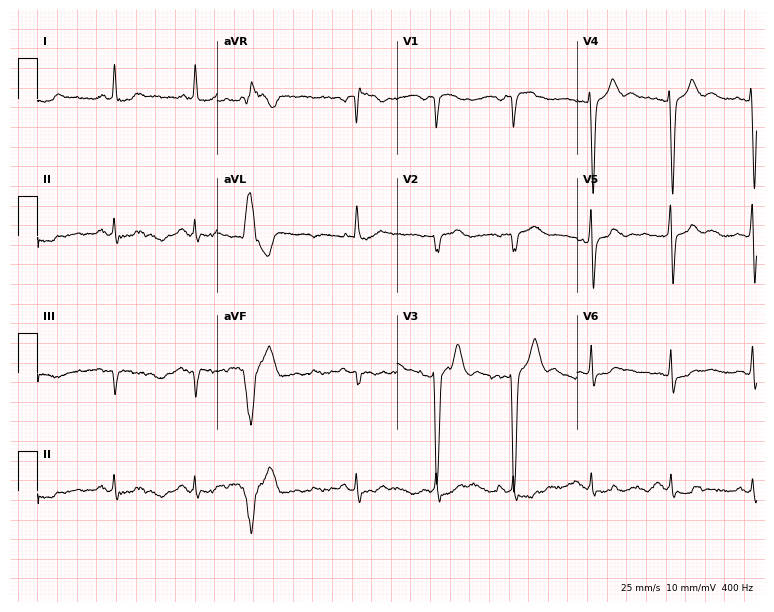
ECG (7.3-second recording at 400 Hz) — a 66-year-old male. Screened for six findings — first-degree AV block, right bundle branch block (RBBB), left bundle branch block (LBBB), sinus bradycardia, atrial fibrillation (AF), sinus tachycardia — none is recorded.